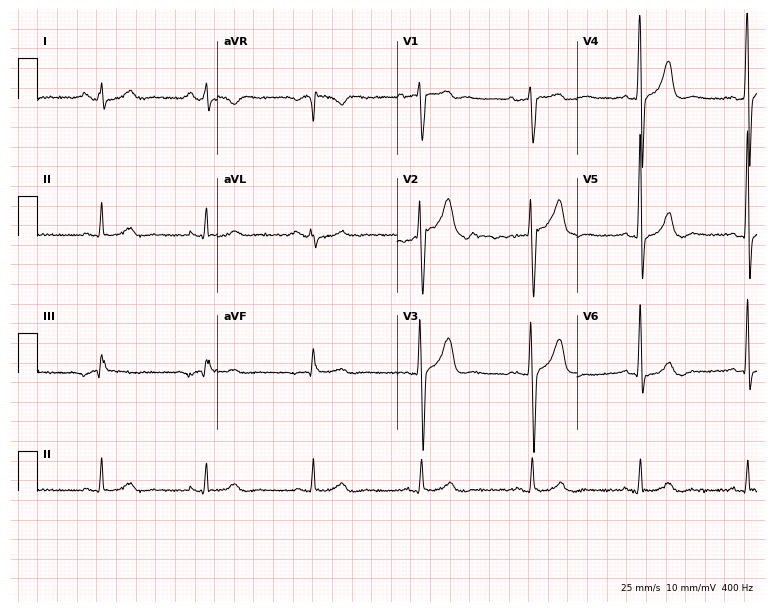
12-lead ECG from a man, 56 years old. Labelled as a normal ECG.